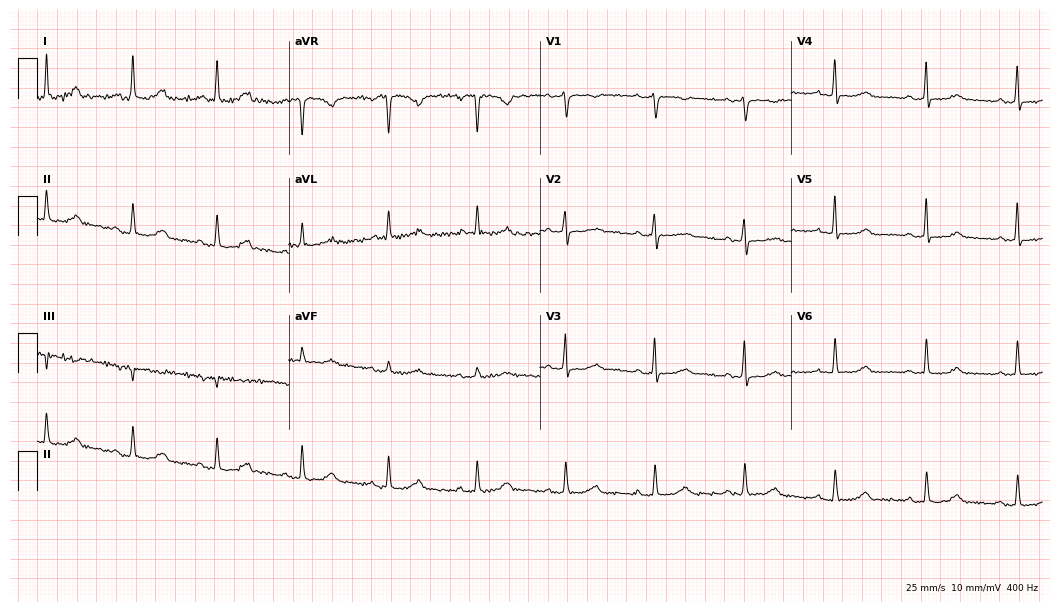
Resting 12-lead electrocardiogram. Patient: a woman, 61 years old. None of these six findings is recorded: first-degree AV block, right bundle branch block, left bundle branch block, sinus bradycardia, atrial fibrillation, sinus tachycardia.